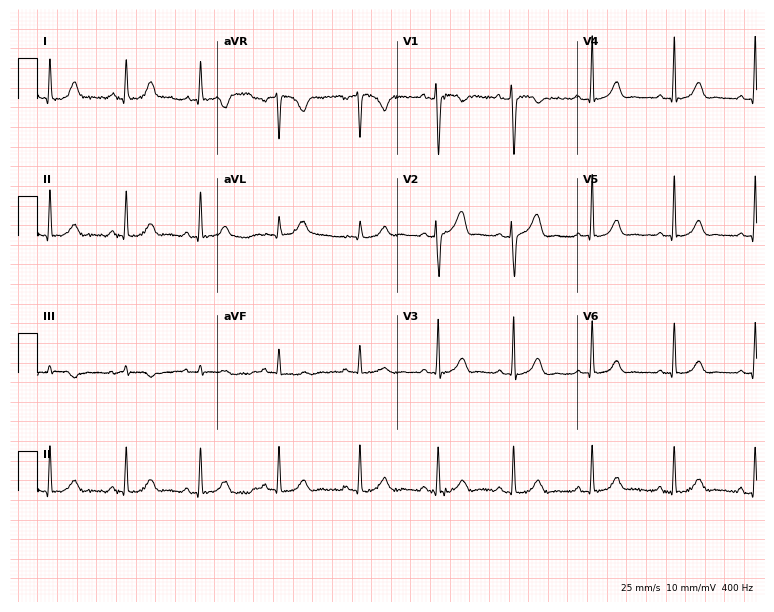
Electrocardiogram, a woman, 31 years old. Overall reading on record: normal ECG.